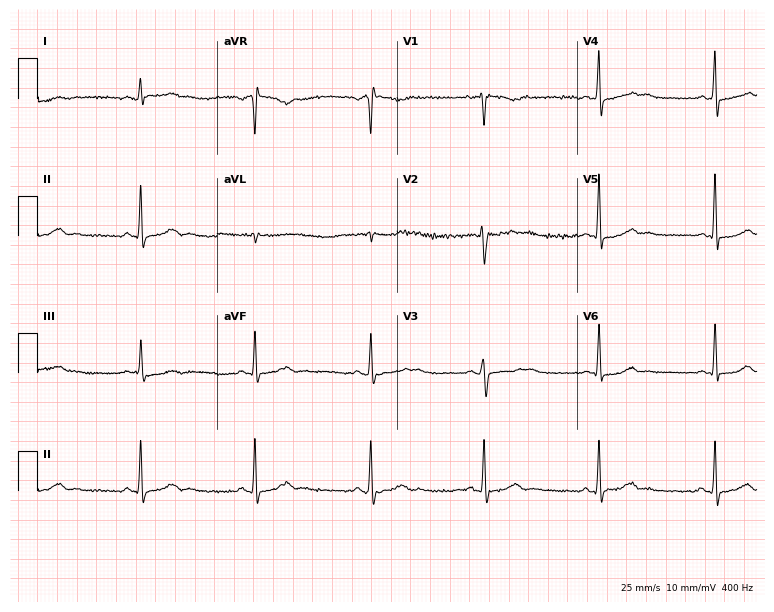
Standard 12-lead ECG recorded from a 35-year-old female (7.3-second recording at 400 Hz). None of these six findings is recorded: first-degree AV block, right bundle branch block (RBBB), left bundle branch block (LBBB), sinus bradycardia, atrial fibrillation (AF), sinus tachycardia.